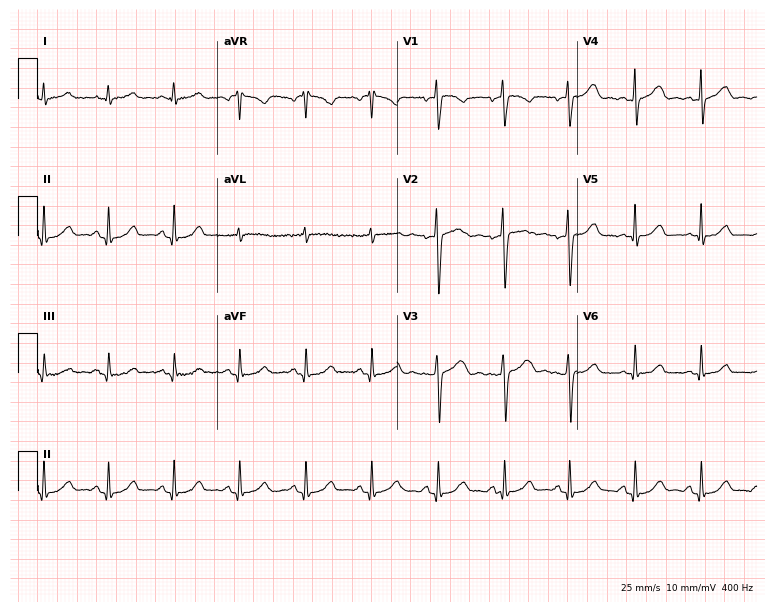
Electrocardiogram (7.3-second recording at 400 Hz), a female patient, 28 years old. Overall reading on record: normal ECG.